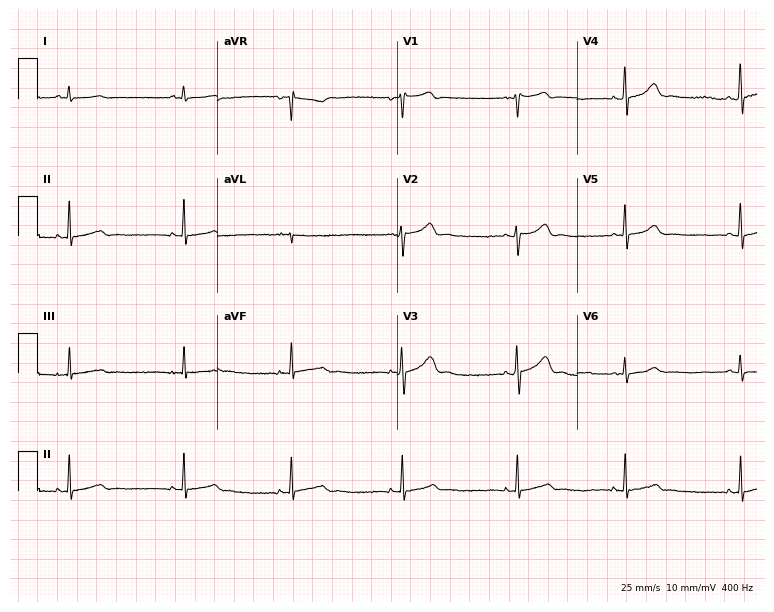
12-lead ECG (7.3-second recording at 400 Hz) from a male, 28 years old. Labelled as a normal ECG.